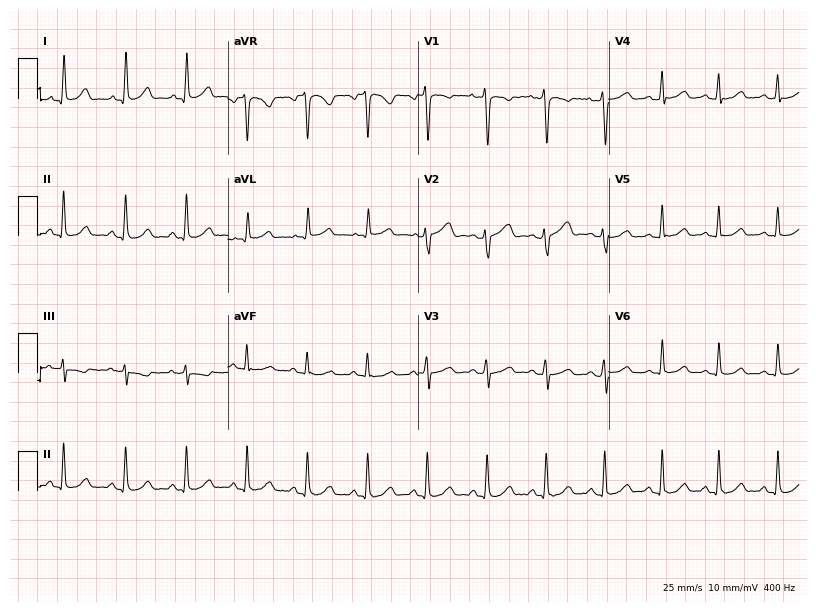
12-lead ECG (7.8-second recording at 400 Hz) from a 20-year-old woman. Labelled as a normal ECG.